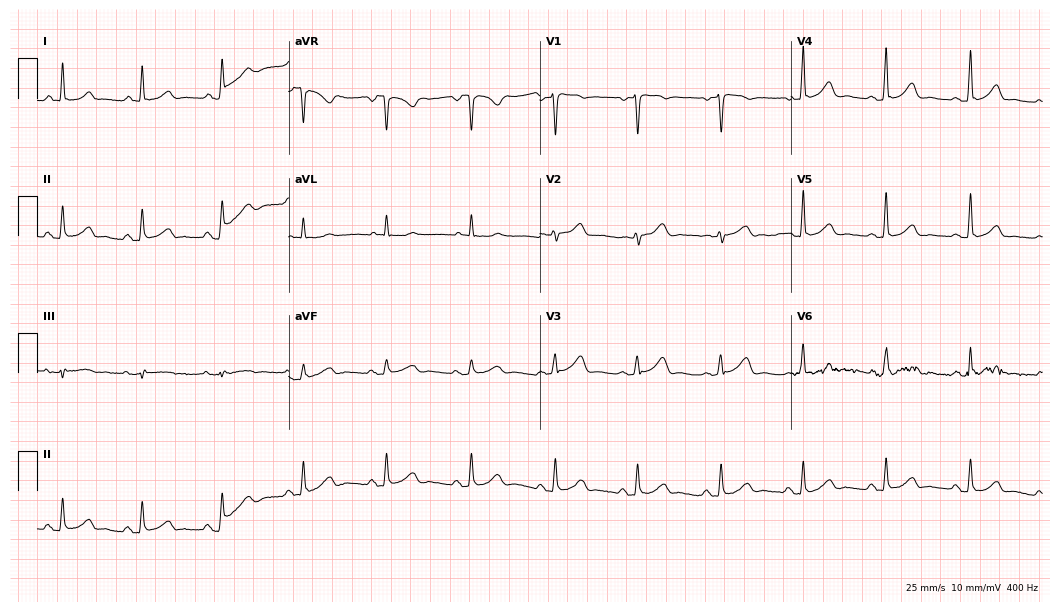
Resting 12-lead electrocardiogram (10.2-second recording at 400 Hz). Patient: a 59-year-old female. Read as a normal ECG.